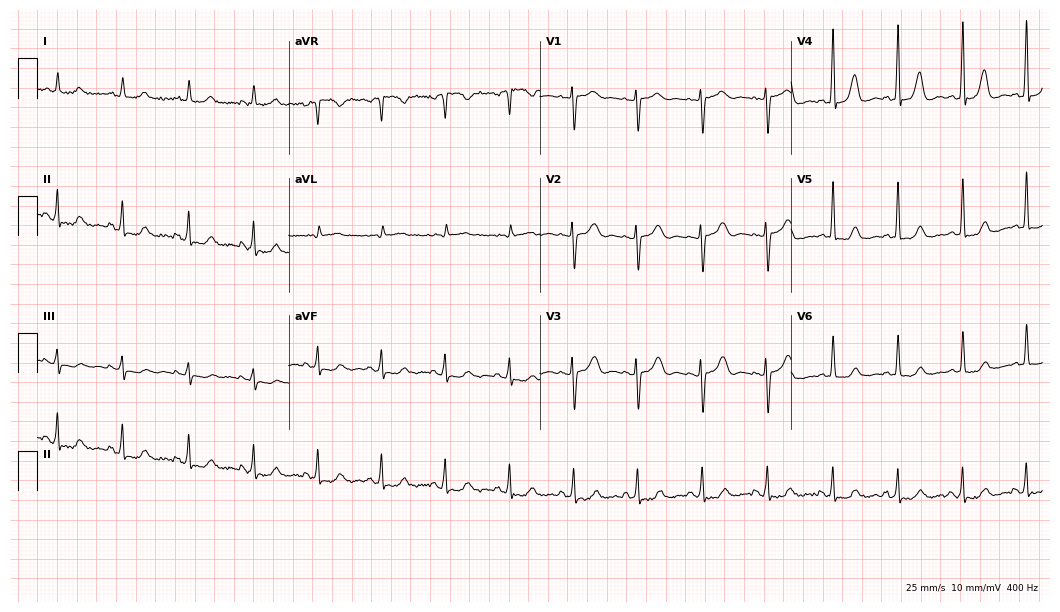
ECG (10.2-second recording at 400 Hz) — a female, 70 years old. Screened for six findings — first-degree AV block, right bundle branch block, left bundle branch block, sinus bradycardia, atrial fibrillation, sinus tachycardia — none is recorded. Findings outside these six are not listed.